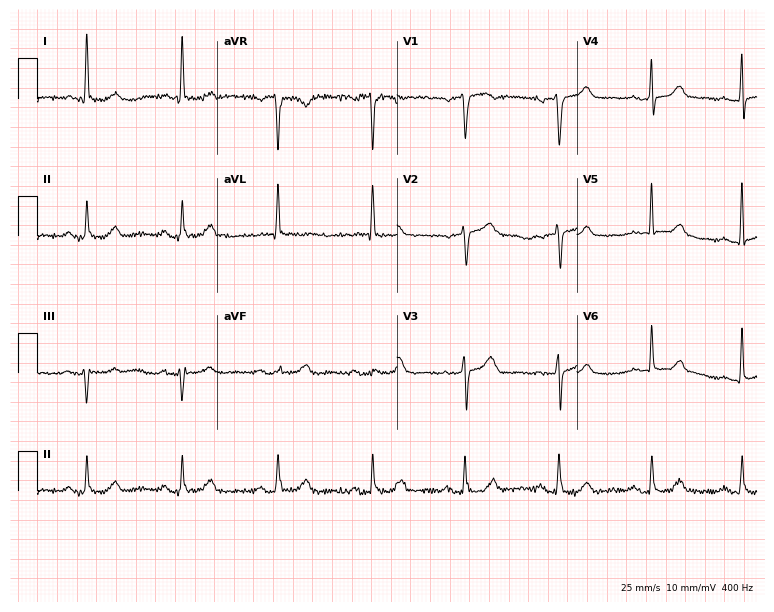
Resting 12-lead electrocardiogram. Patient: a 72-year-old female. Read as a normal ECG.